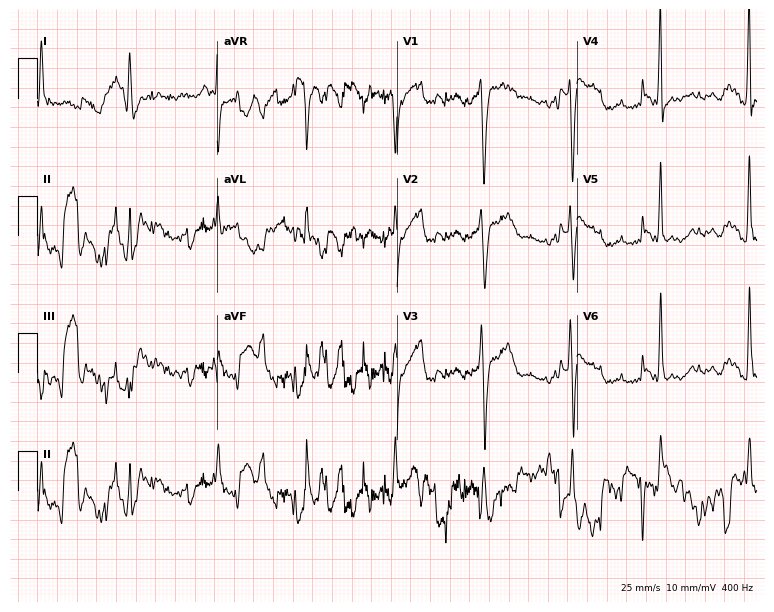
Resting 12-lead electrocardiogram. Patient: a 56-year-old man. None of these six findings is recorded: first-degree AV block, right bundle branch block, left bundle branch block, sinus bradycardia, atrial fibrillation, sinus tachycardia. Findings outside these six are not listed.